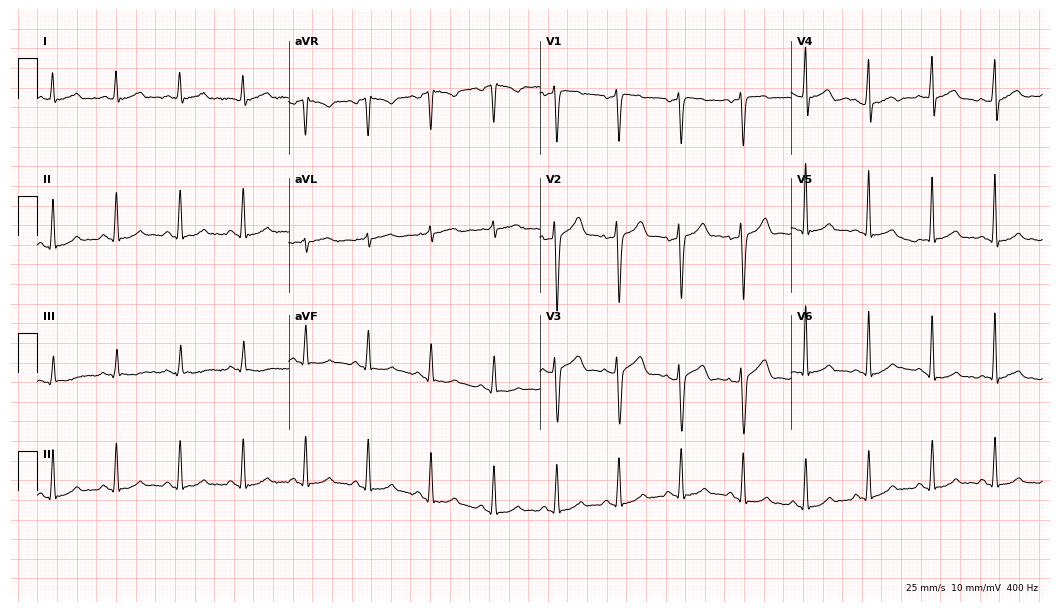
Electrocardiogram (10.2-second recording at 400 Hz), a 50-year-old man. Of the six screened findings (first-degree AV block, right bundle branch block, left bundle branch block, sinus bradycardia, atrial fibrillation, sinus tachycardia), none is recorded. Only these six findings were labelled.